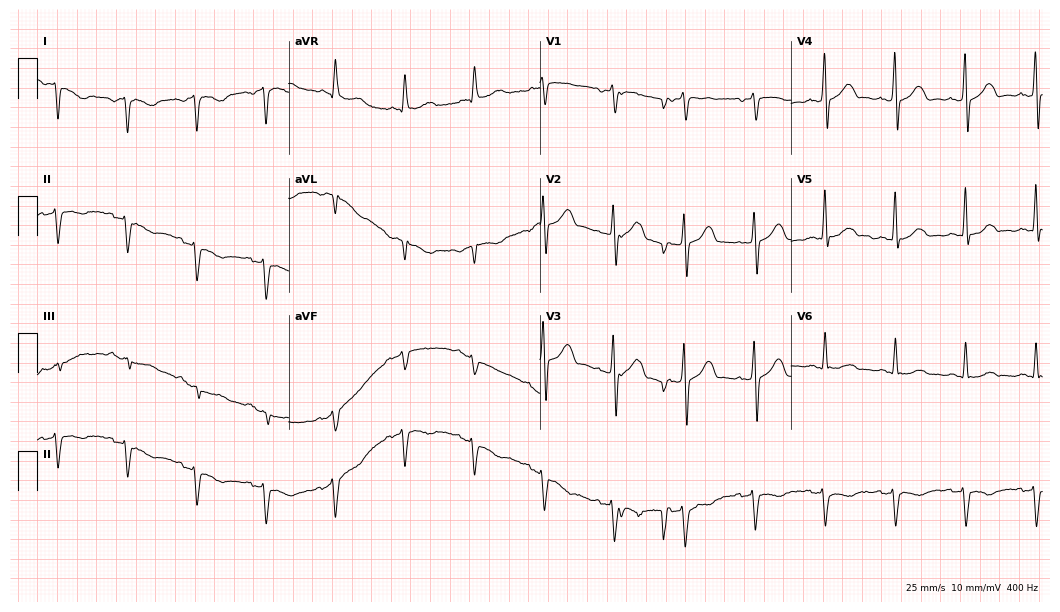
12-lead ECG from a 65-year-old male. No first-degree AV block, right bundle branch block, left bundle branch block, sinus bradycardia, atrial fibrillation or sinus tachycardia recorded for this tracing.